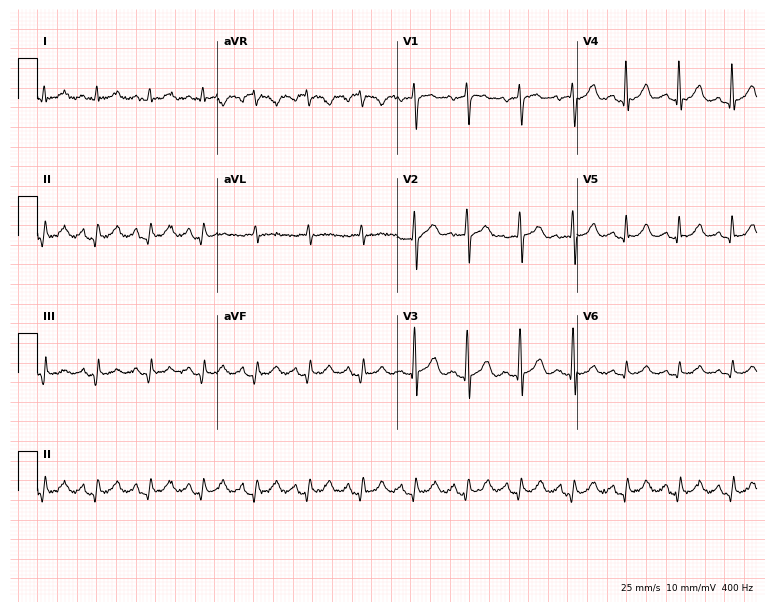
12-lead ECG from a male, 60 years old. Screened for six findings — first-degree AV block, right bundle branch block, left bundle branch block, sinus bradycardia, atrial fibrillation, sinus tachycardia — none is recorded. Findings outside these six are not listed.